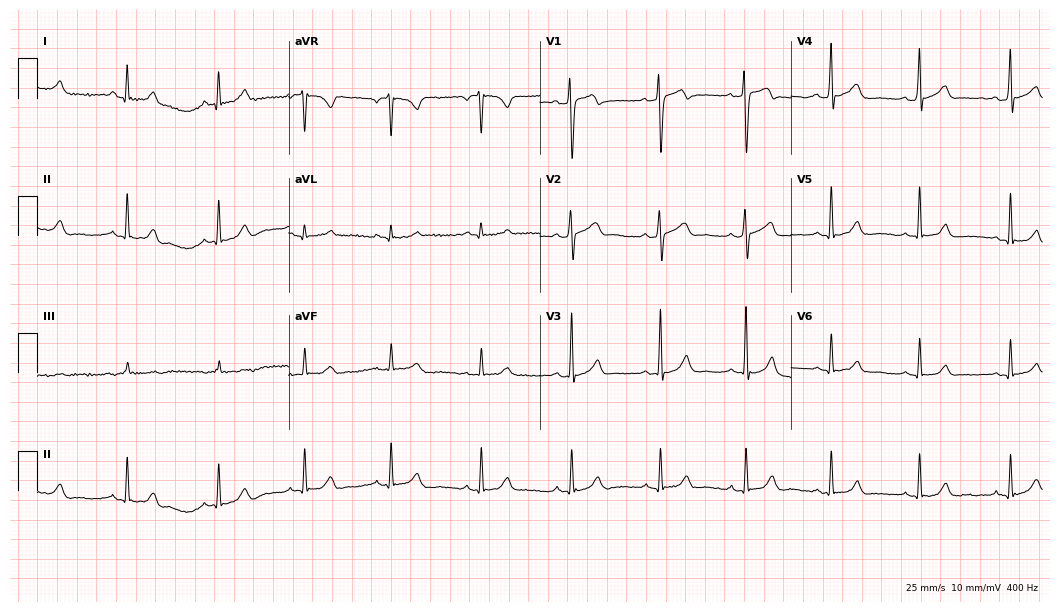
12-lead ECG (10.2-second recording at 400 Hz) from a male, 27 years old. Labelled as a normal ECG.